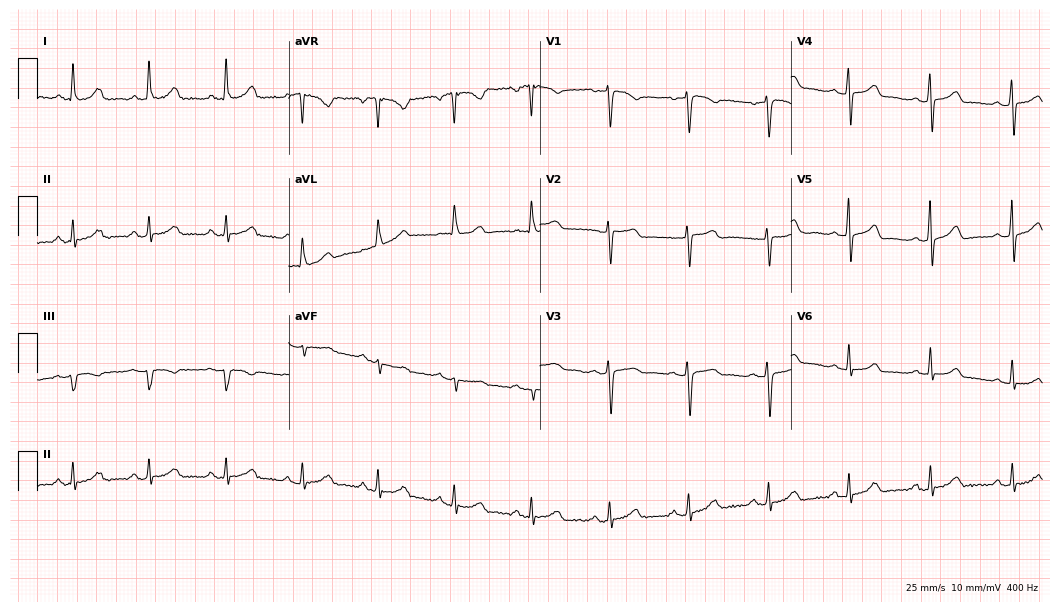
Resting 12-lead electrocardiogram. Patient: a 55-year-old female. Read as a normal ECG.